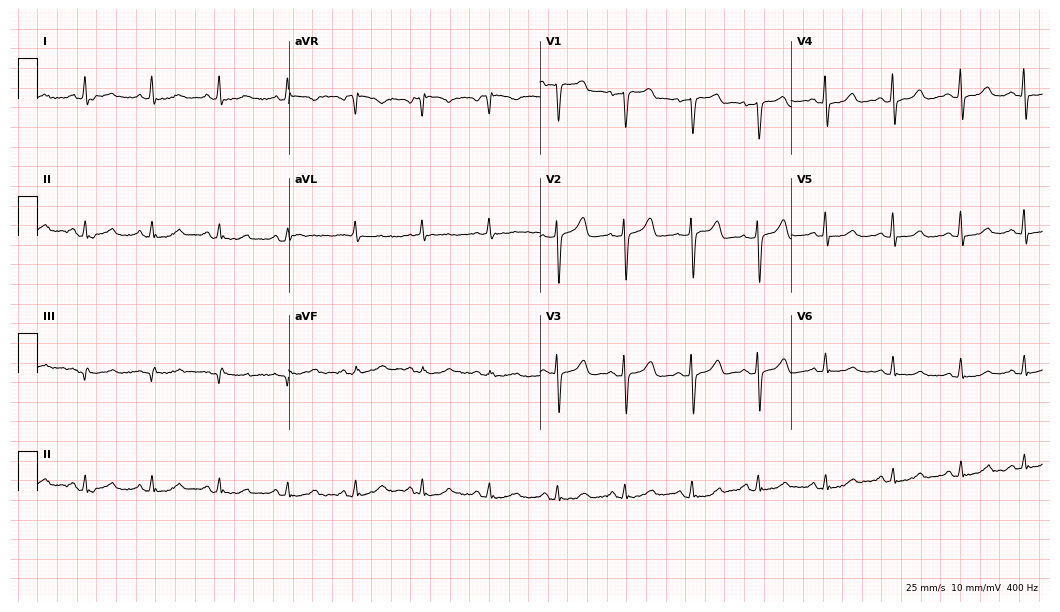
12-lead ECG from a female, 68 years old. No first-degree AV block, right bundle branch block, left bundle branch block, sinus bradycardia, atrial fibrillation or sinus tachycardia recorded for this tracing. Other findings, if any, are not listed.